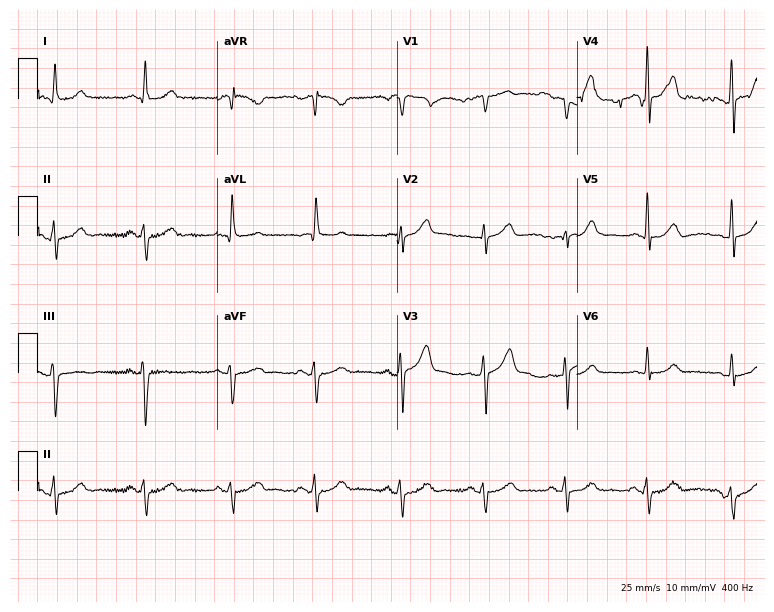
Resting 12-lead electrocardiogram. Patient: a 65-year-old male. None of these six findings is recorded: first-degree AV block, right bundle branch block, left bundle branch block, sinus bradycardia, atrial fibrillation, sinus tachycardia.